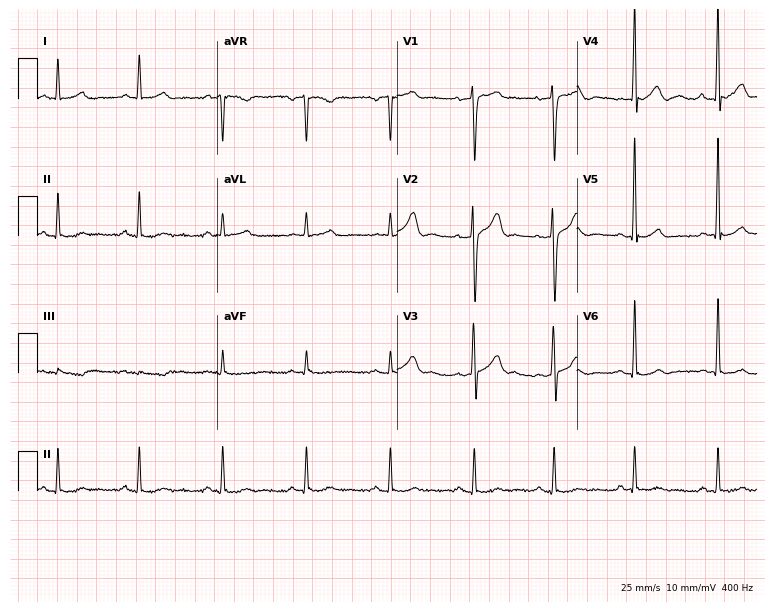
ECG — a male, 29 years old. Labelled as a normal ECG.